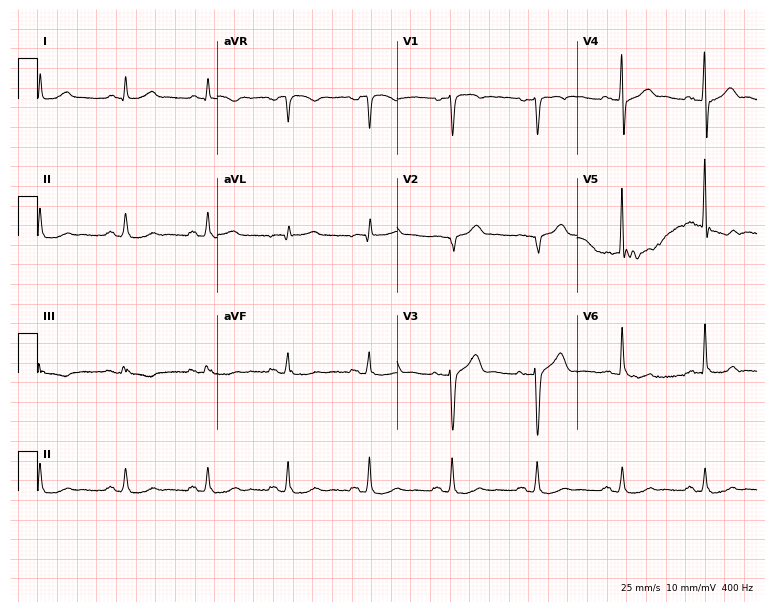
ECG (7.3-second recording at 400 Hz) — a male patient, 54 years old. Screened for six findings — first-degree AV block, right bundle branch block, left bundle branch block, sinus bradycardia, atrial fibrillation, sinus tachycardia — none is recorded. Findings outside these six are not listed.